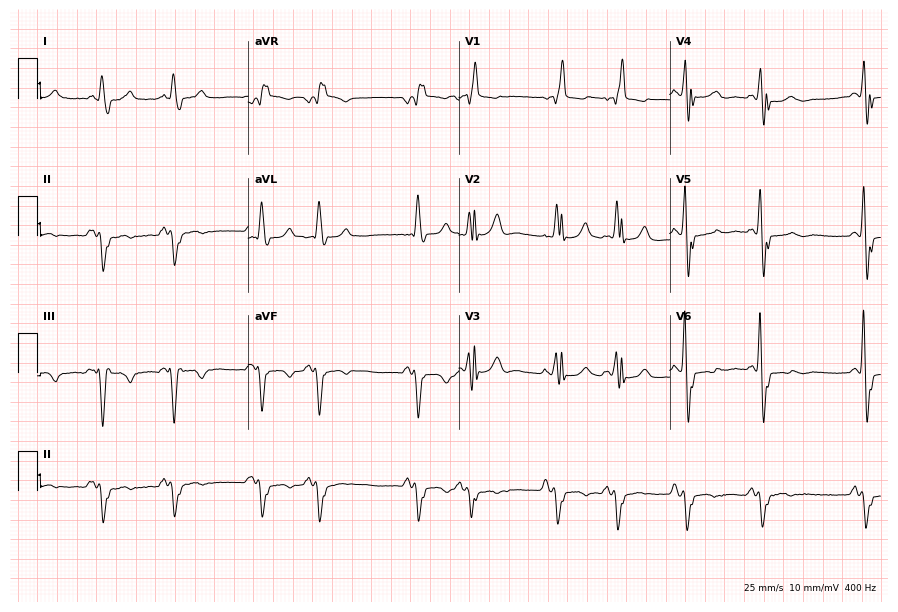
Resting 12-lead electrocardiogram (8.6-second recording at 400 Hz). Patient: a male, 74 years old. The tracing shows right bundle branch block, left bundle branch block.